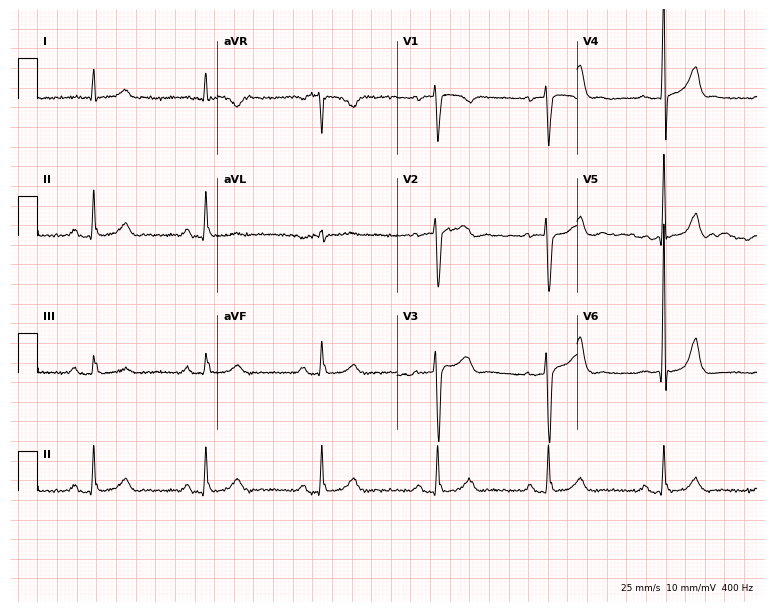
12-lead ECG from a male patient, 53 years old (7.3-second recording at 400 Hz). Shows first-degree AV block.